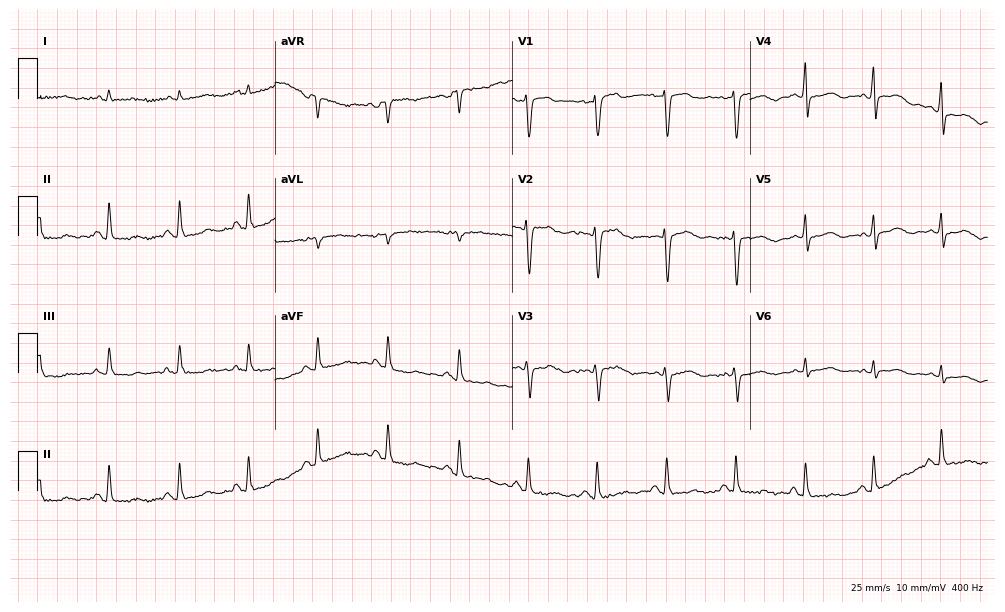
ECG (9.7-second recording at 400 Hz) — a woman, 50 years old. Screened for six findings — first-degree AV block, right bundle branch block, left bundle branch block, sinus bradycardia, atrial fibrillation, sinus tachycardia — none is recorded. Other findings, if any, are not listed.